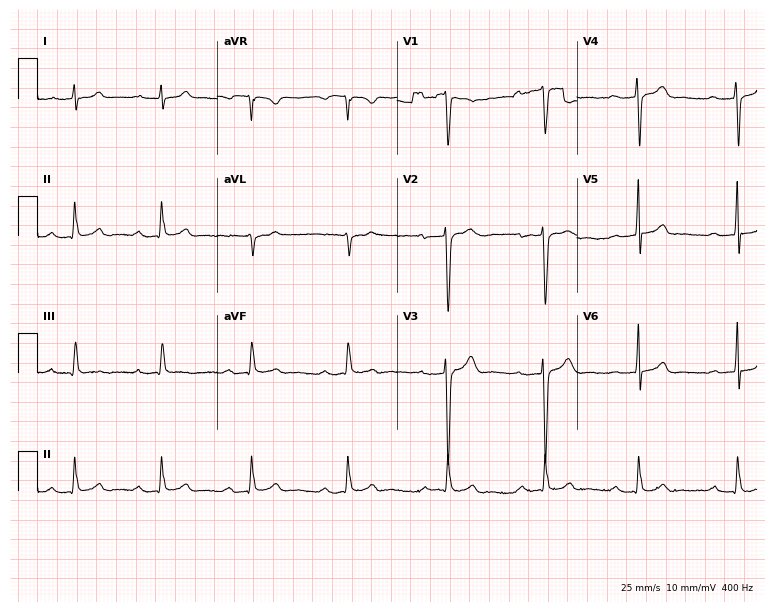
12-lead ECG from a 38-year-old man. Findings include first-degree AV block.